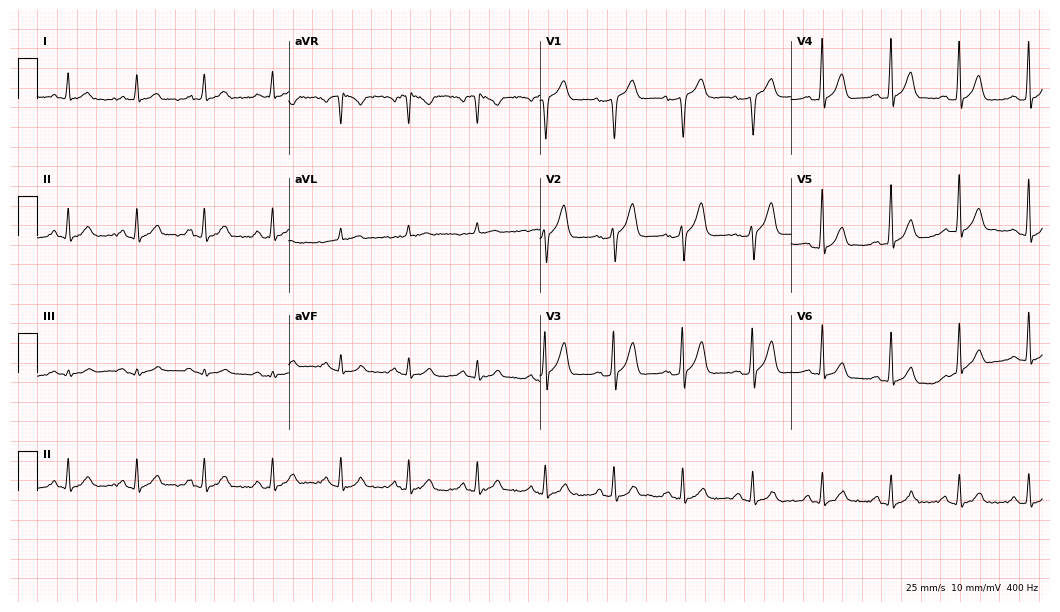
12-lead ECG from a man, 67 years old (10.2-second recording at 400 Hz). Recorded interpretation: within normal limits.